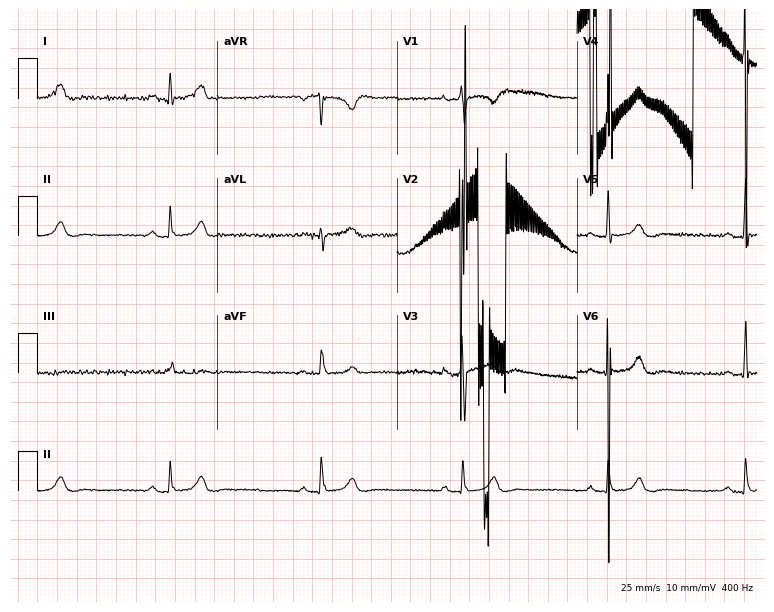
Standard 12-lead ECG recorded from a 38-year-old man. None of these six findings is recorded: first-degree AV block, right bundle branch block, left bundle branch block, sinus bradycardia, atrial fibrillation, sinus tachycardia.